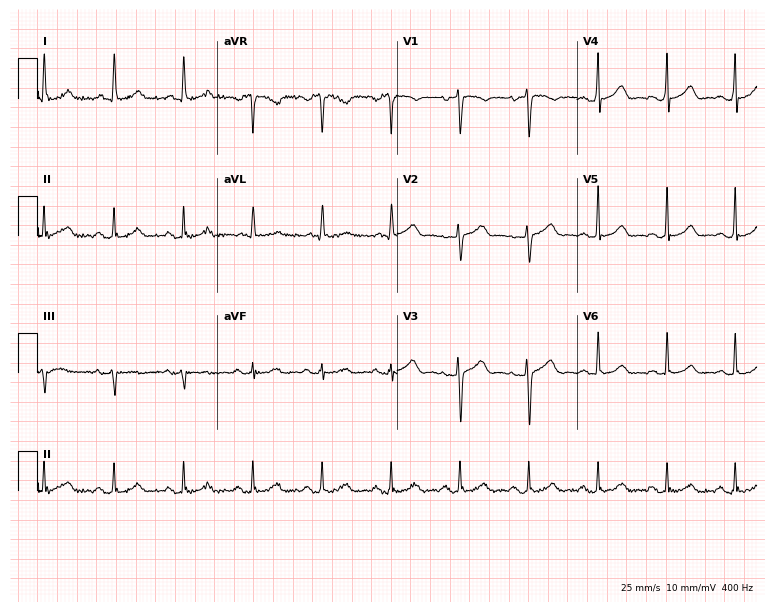
Electrocardiogram, a female patient, 71 years old. Overall reading on record: normal ECG.